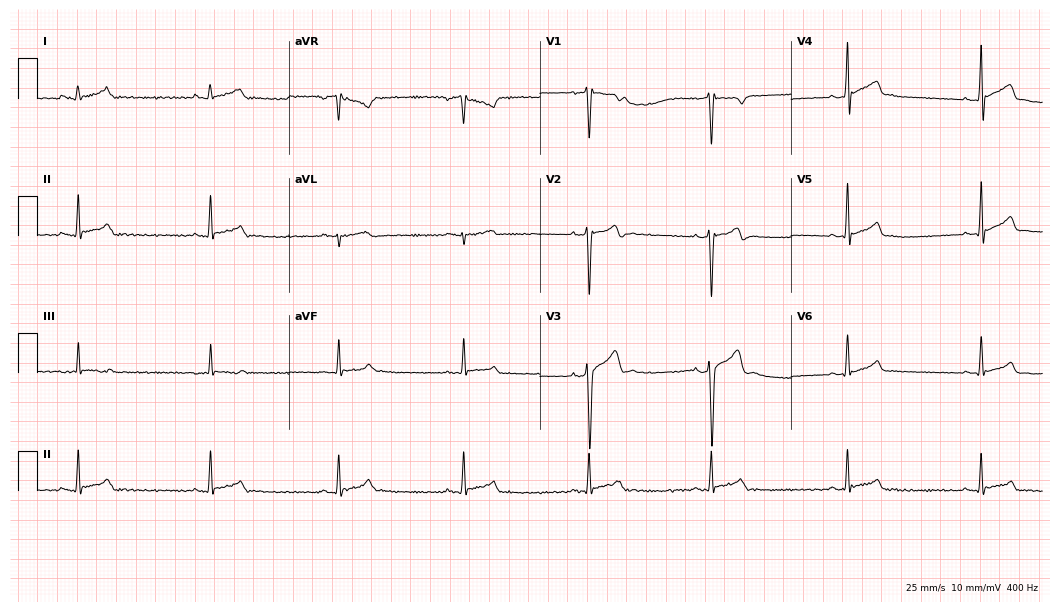
Resting 12-lead electrocardiogram (10.2-second recording at 400 Hz). Patient: a male, 27 years old. The tracing shows sinus bradycardia (a sinus rate of 50 beats per minute or less).